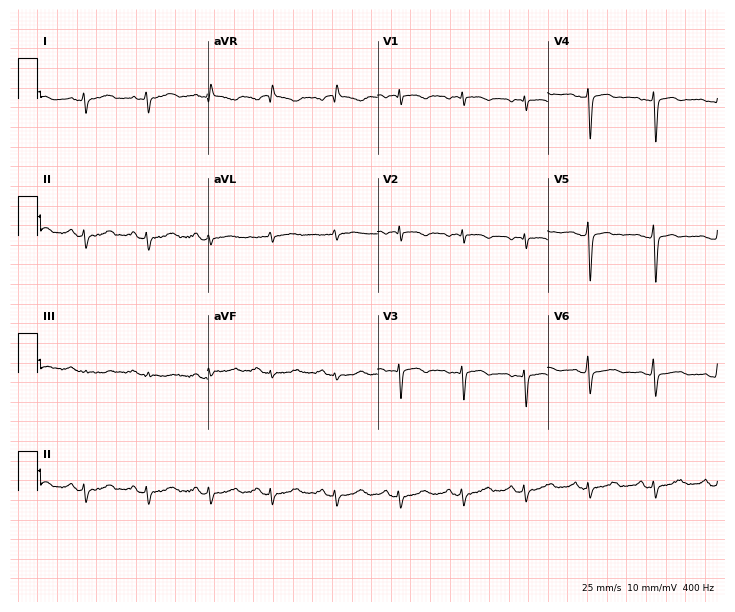
12-lead ECG (6.9-second recording at 400 Hz) from a 53-year-old female. Screened for six findings — first-degree AV block, right bundle branch block, left bundle branch block, sinus bradycardia, atrial fibrillation, sinus tachycardia — none is recorded.